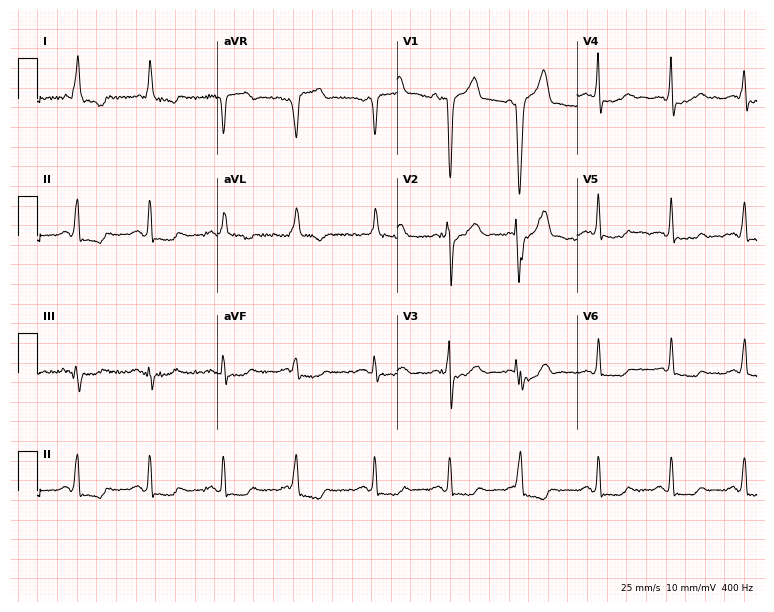
12-lead ECG from a male patient, 67 years old. Screened for six findings — first-degree AV block, right bundle branch block (RBBB), left bundle branch block (LBBB), sinus bradycardia, atrial fibrillation (AF), sinus tachycardia — none is recorded.